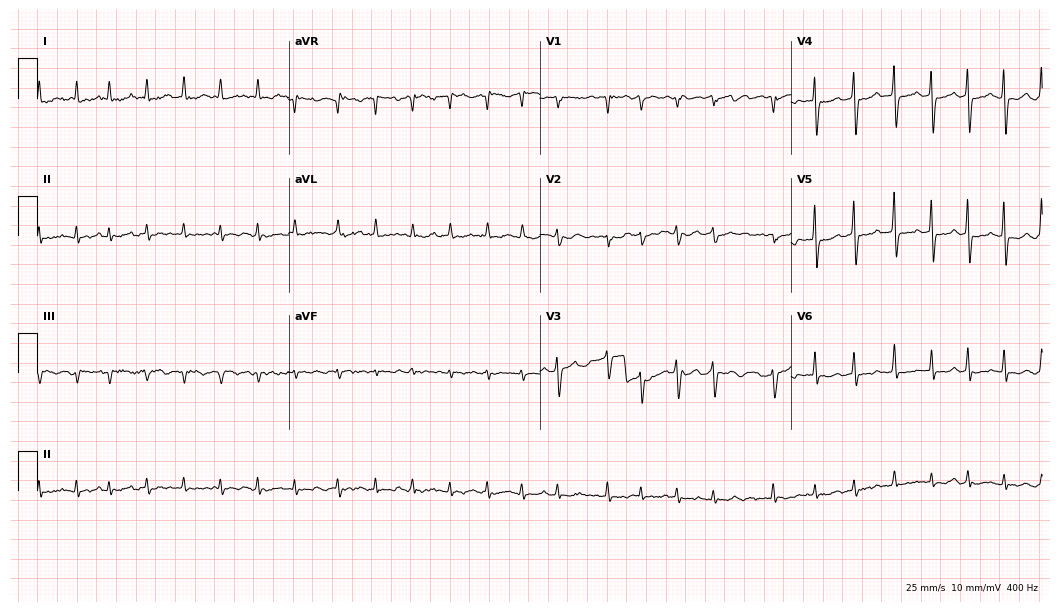
12-lead ECG from an 83-year-old female patient (10.2-second recording at 400 Hz). Shows atrial fibrillation, sinus tachycardia (a sinus rate of 100 beats per minute or more).